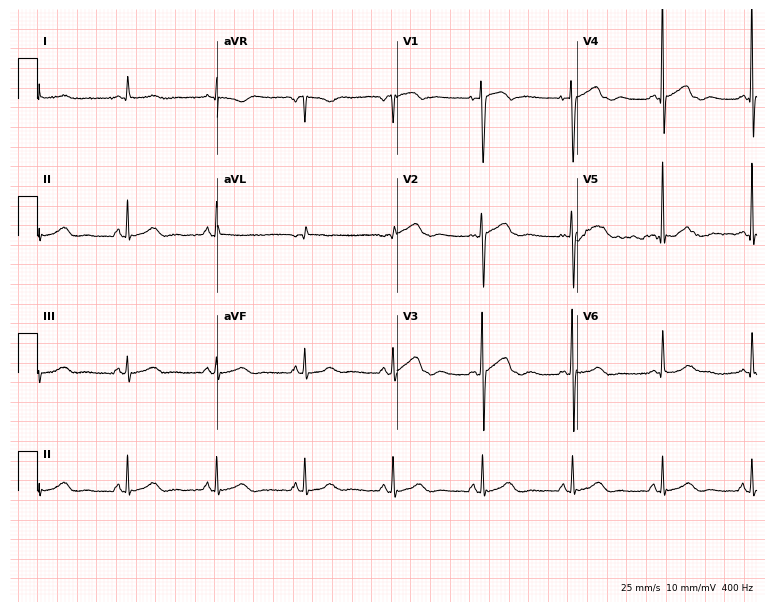
Electrocardiogram, a 77-year-old female. Of the six screened findings (first-degree AV block, right bundle branch block, left bundle branch block, sinus bradycardia, atrial fibrillation, sinus tachycardia), none is recorded.